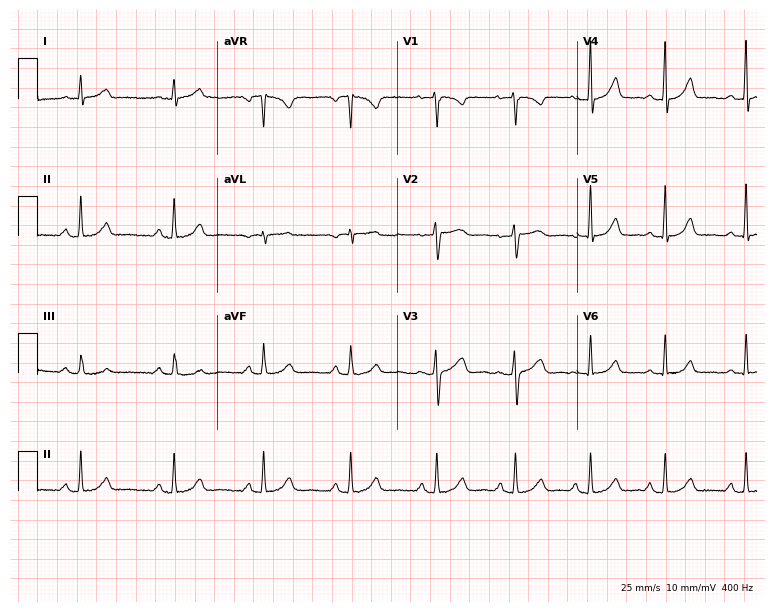
Resting 12-lead electrocardiogram (7.3-second recording at 400 Hz). Patient: a female, 38 years old. Read as a normal ECG.